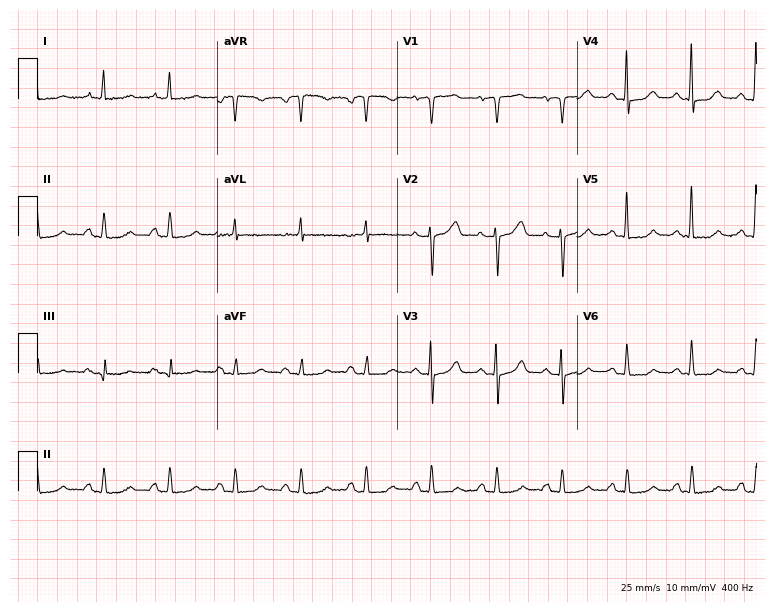
12-lead ECG from a woman, 80 years old. Labelled as a normal ECG.